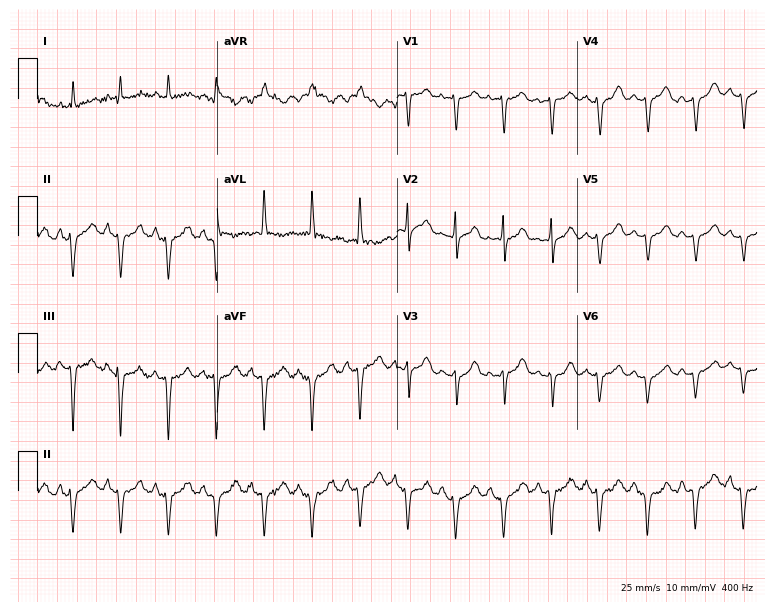
ECG — a female, 82 years old. Findings include sinus tachycardia (a sinus rate of 100 beats per minute or more).